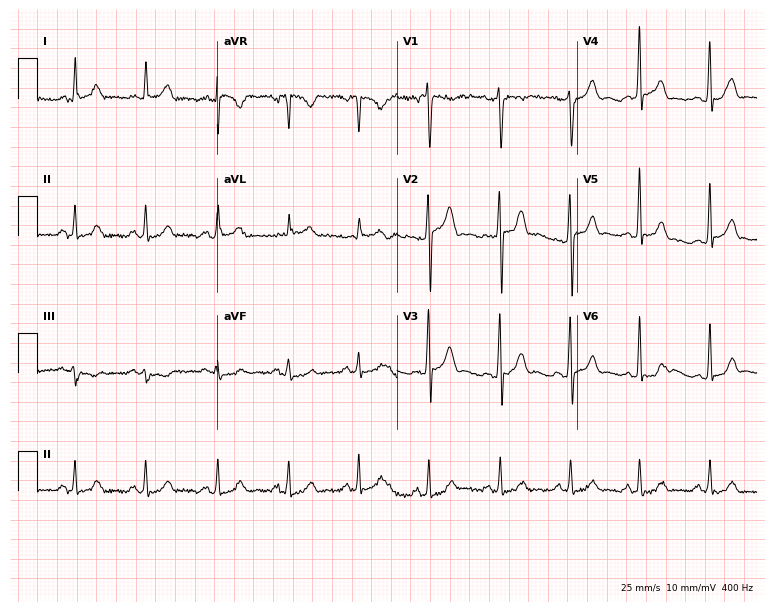
ECG (7.3-second recording at 400 Hz) — a 25-year-old man. Labelled as a normal ECG.